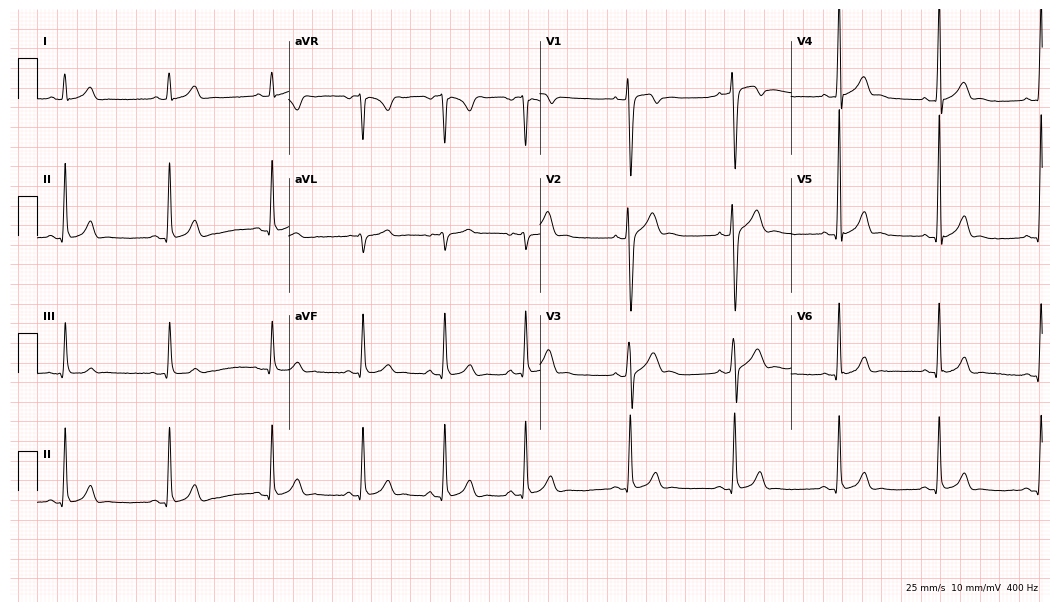
Standard 12-lead ECG recorded from a 22-year-old male. Read as a normal ECG.